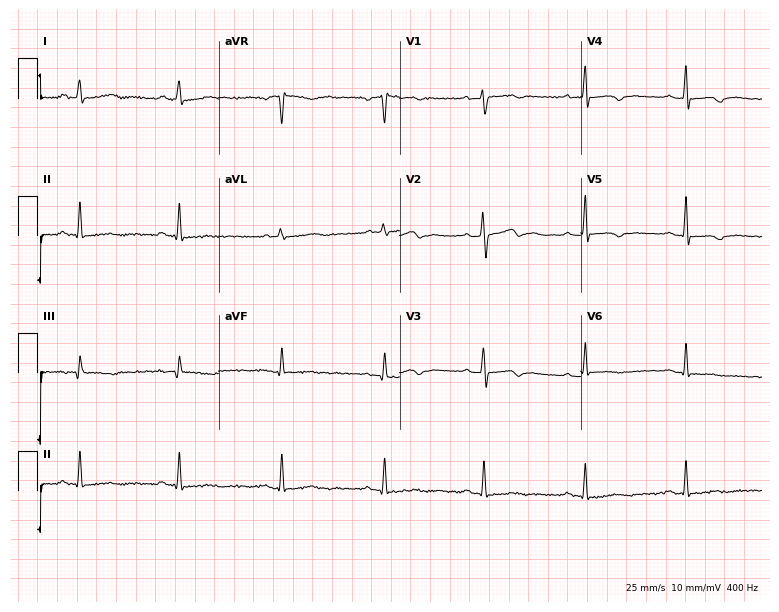
Resting 12-lead electrocardiogram. Patient: a 36-year-old female. None of these six findings is recorded: first-degree AV block, right bundle branch block (RBBB), left bundle branch block (LBBB), sinus bradycardia, atrial fibrillation (AF), sinus tachycardia. Only these six findings were labelled.